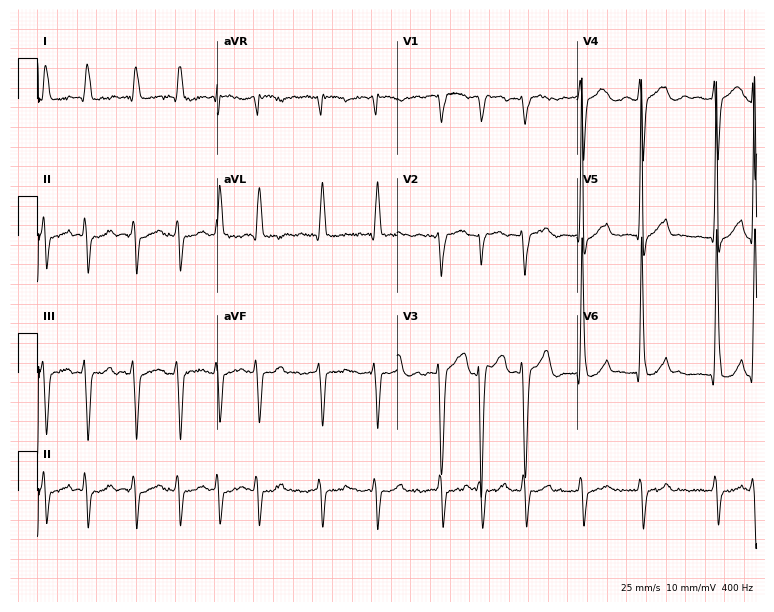
Standard 12-lead ECG recorded from an 82-year-old man (7.3-second recording at 400 Hz). The tracing shows atrial fibrillation.